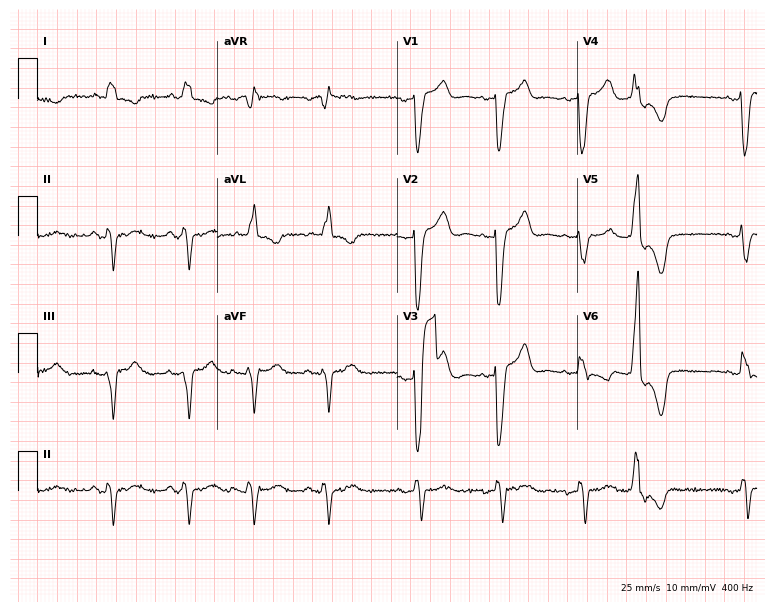
ECG — a female patient, 85 years old. Screened for six findings — first-degree AV block, right bundle branch block, left bundle branch block, sinus bradycardia, atrial fibrillation, sinus tachycardia — none is recorded.